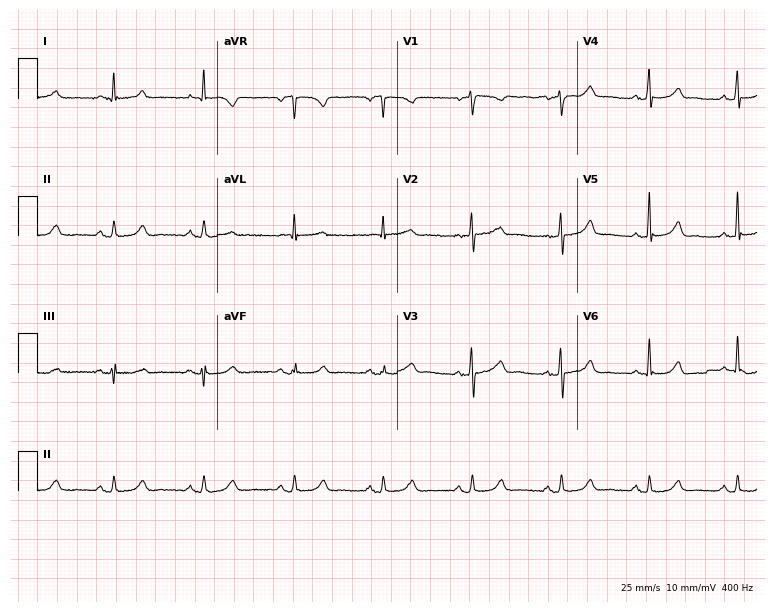
ECG — a 57-year-old female patient. Screened for six findings — first-degree AV block, right bundle branch block (RBBB), left bundle branch block (LBBB), sinus bradycardia, atrial fibrillation (AF), sinus tachycardia — none is recorded. Other findings, if any, are not listed.